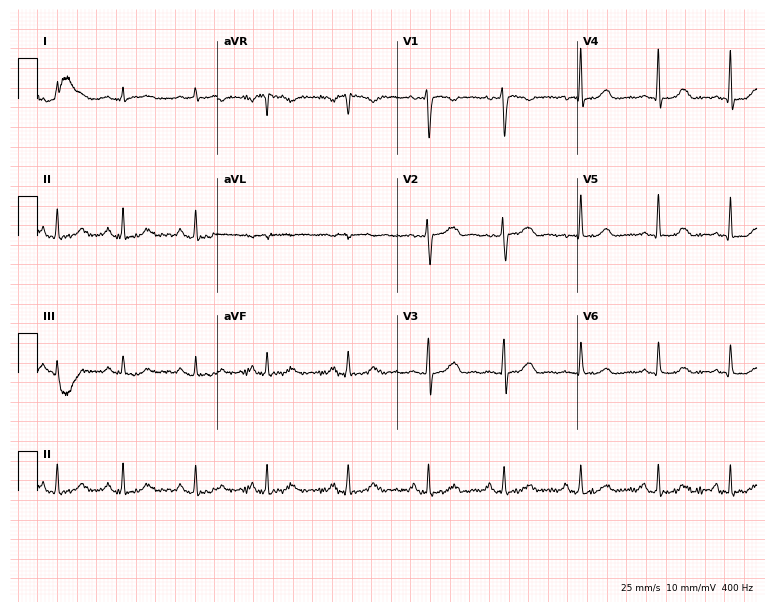
12-lead ECG from a female patient, 47 years old. Recorded interpretation: within normal limits.